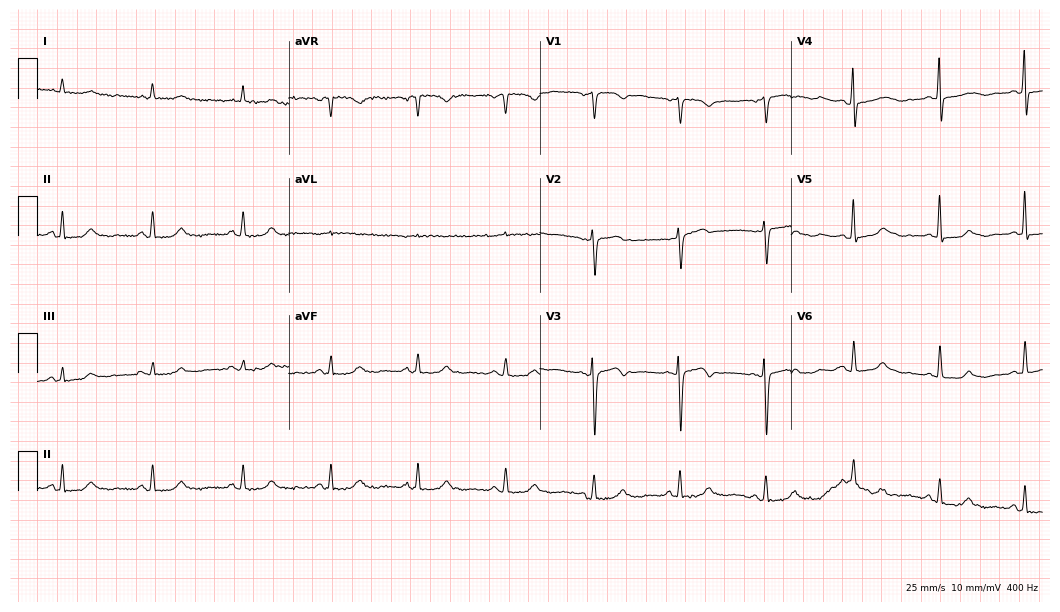
Standard 12-lead ECG recorded from a female patient, 57 years old (10.2-second recording at 400 Hz). None of these six findings is recorded: first-degree AV block, right bundle branch block (RBBB), left bundle branch block (LBBB), sinus bradycardia, atrial fibrillation (AF), sinus tachycardia. Only these six findings were labelled.